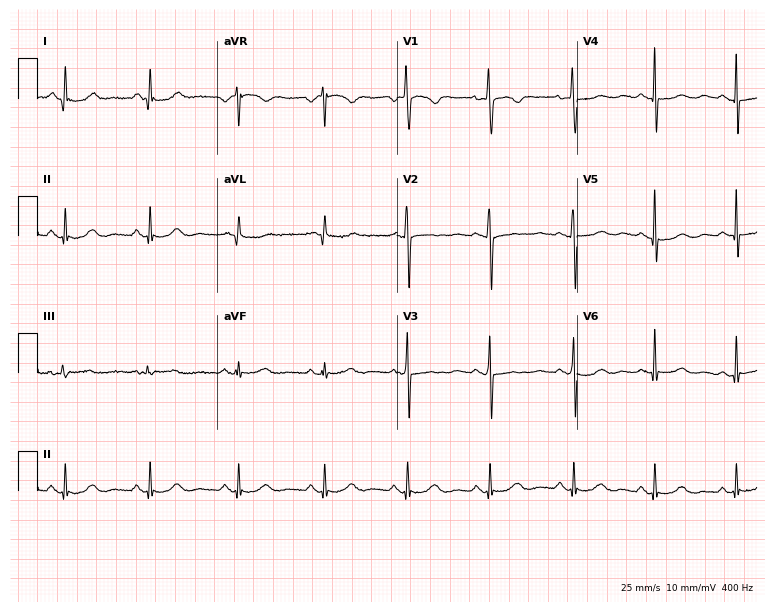
12-lead ECG from a 61-year-old woman. Screened for six findings — first-degree AV block, right bundle branch block, left bundle branch block, sinus bradycardia, atrial fibrillation, sinus tachycardia — none is recorded. Only these six findings were labelled.